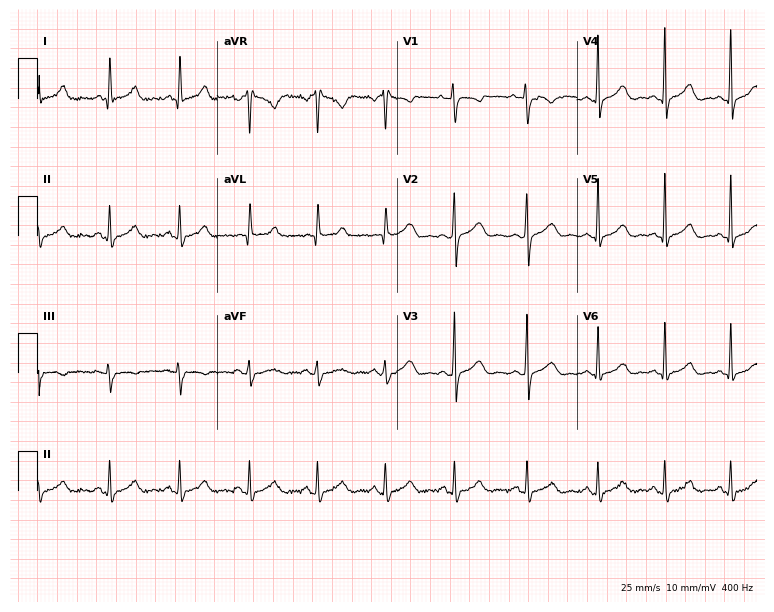
Resting 12-lead electrocardiogram (7.3-second recording at 400 Hz). Patient: a female, 39 years old. Read as a normal ECG.